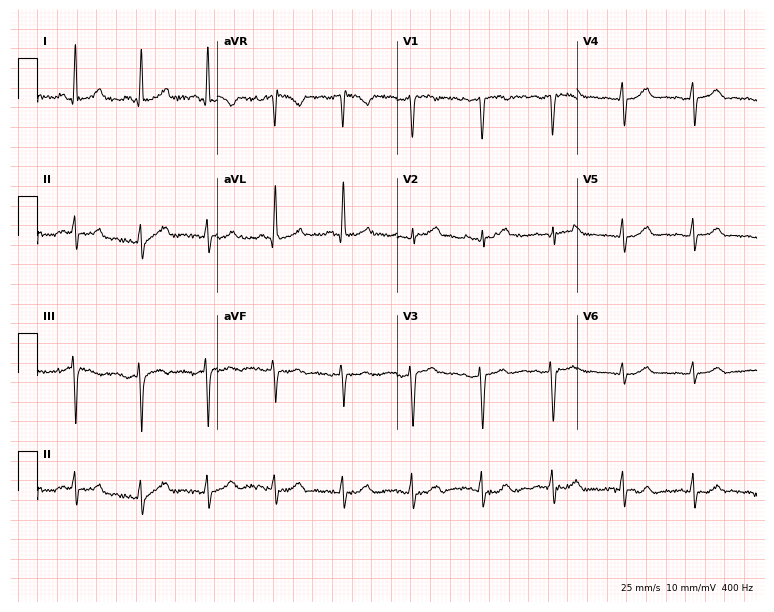
12-lead ECG (7.3-second recording at 400 Hz) from a female patient, 70 years old. Labelled as a normal ECG.